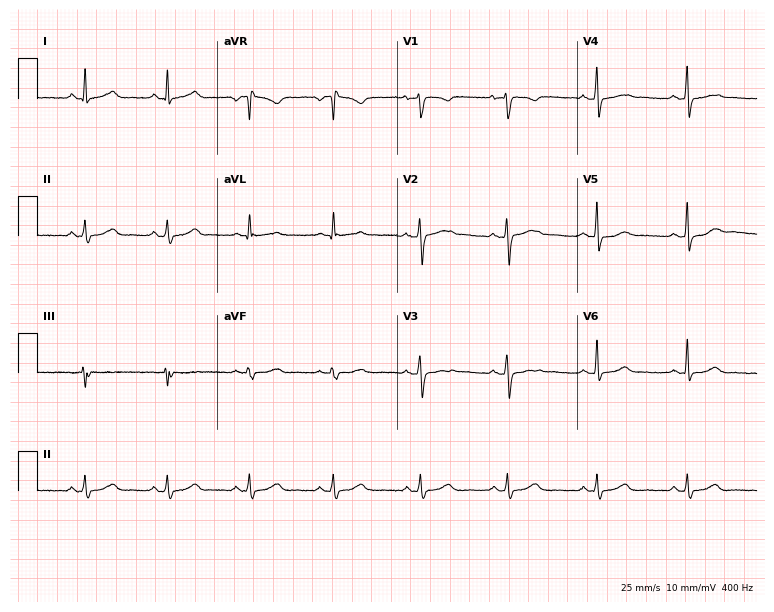
12-lead ECG from a female, 45 years old. Labelled as a normal ECG.